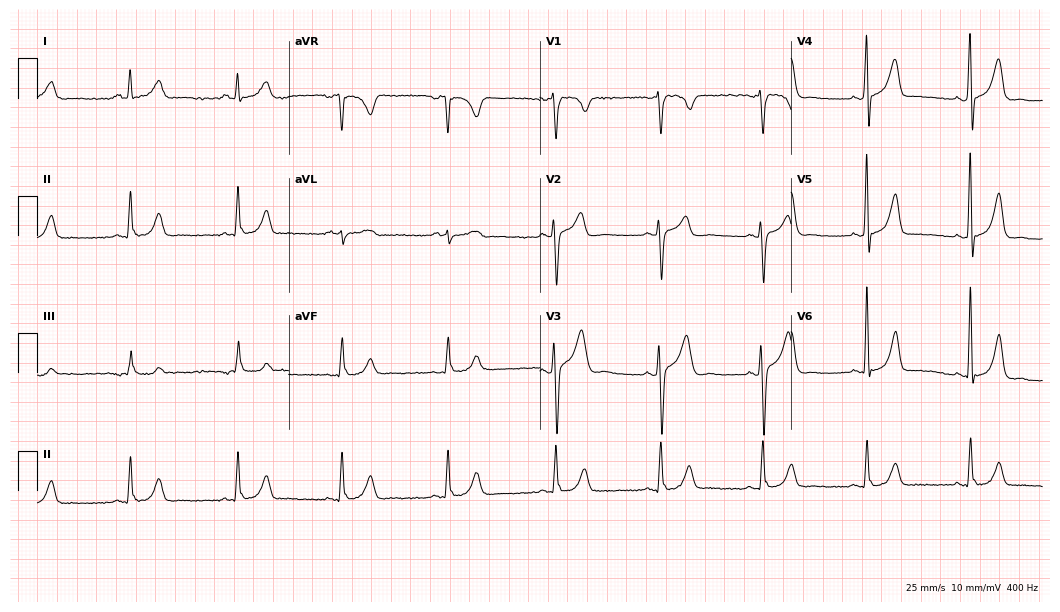
ECG (10.2-second recording at 400 Hz) — a male, 40 years old. Labelled as a normal ECG.